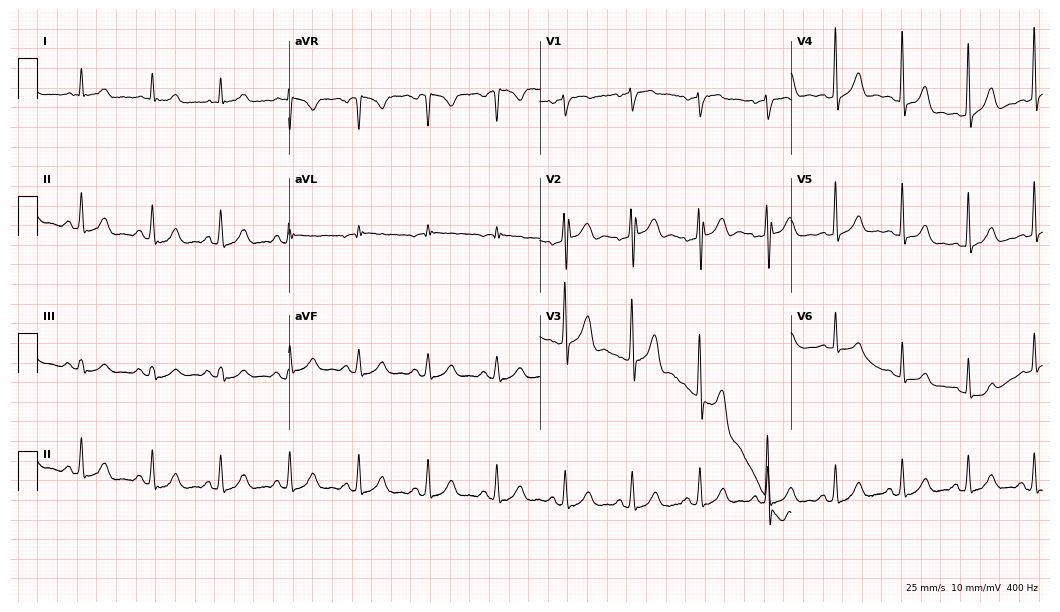
Standard 12-lead ECG recorded from a 49-year-old male patient. Read as a normal ECG.